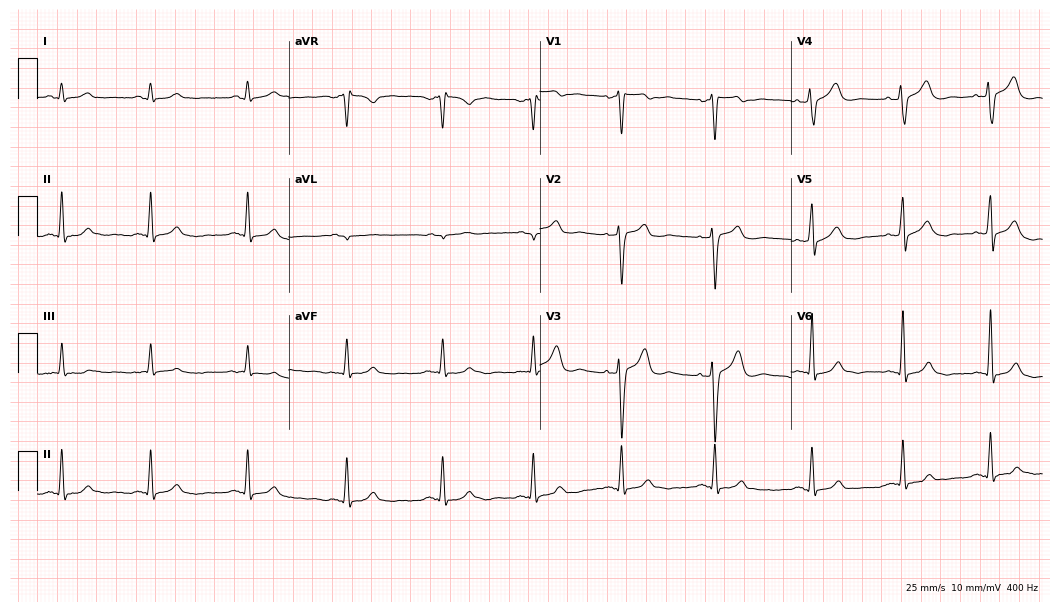
12-lead ECG from a 54-year-old man. No first-degree AV block, right bundle branch block, left bundle branch block, sinus bradycardia, atrial fibrillation or sinus tachycardia recorded for this tracing. Findings outside these six are not listed.